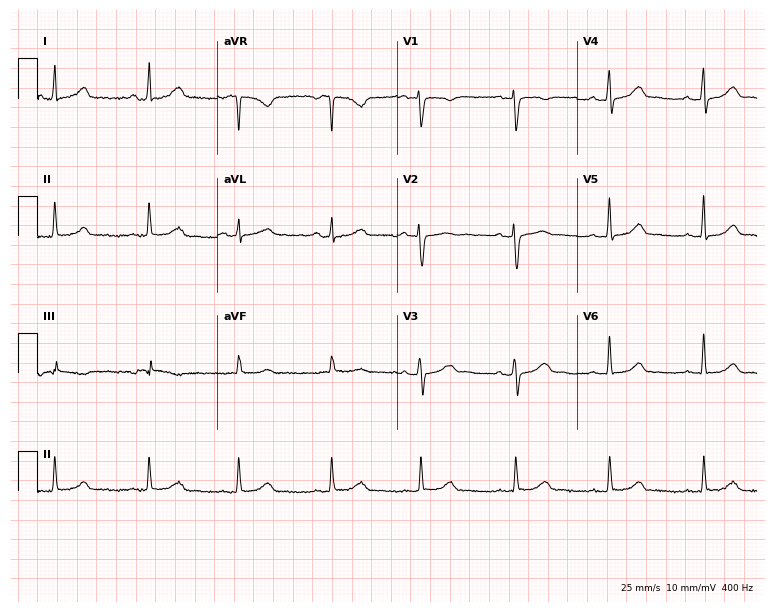
Standard 12-lead ECG recorded from a 44-year-old woman (7.3-second recording at 400 Hz). Read as a normal ECG.